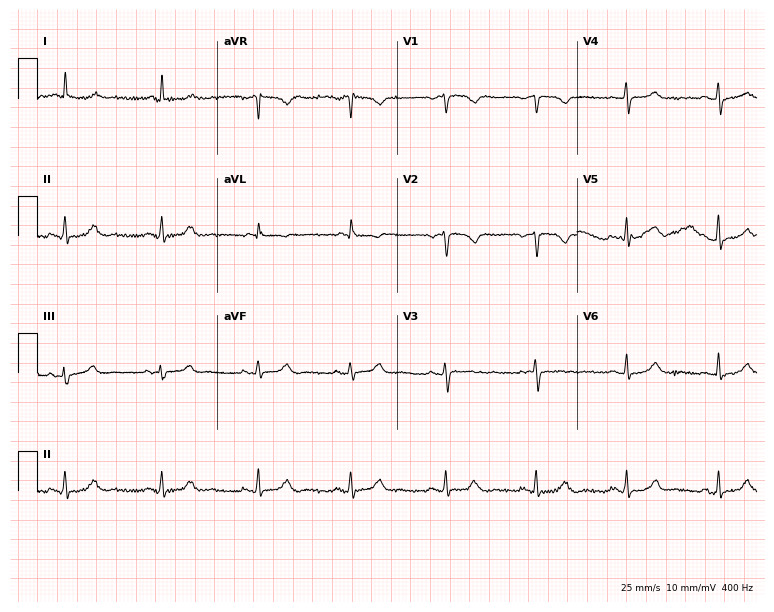
ECG (7.3-second recording at 400 Hz) — a woman, 52 years old. Screened for six findings — first-degree AV block, right bundle branch block, left bundle branch block, sinus bradycardia, atrial fibrillation, sinus tachycardia — none is recorded.